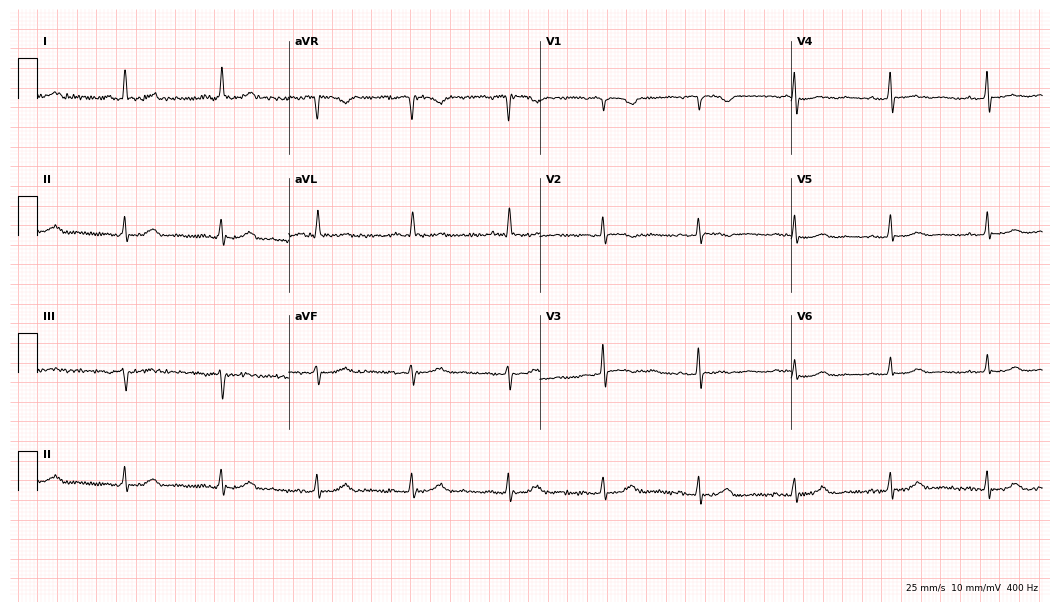
Electrocardiogram (10.2-second recording at 400 Hz), a 58-year-old female patient. Of the six screened findings (first-degree AV block, right bundle branch block, left bundle branch block, sinus bradycardia, atrial fibrillation, sinus tachycardia), none is recorded.